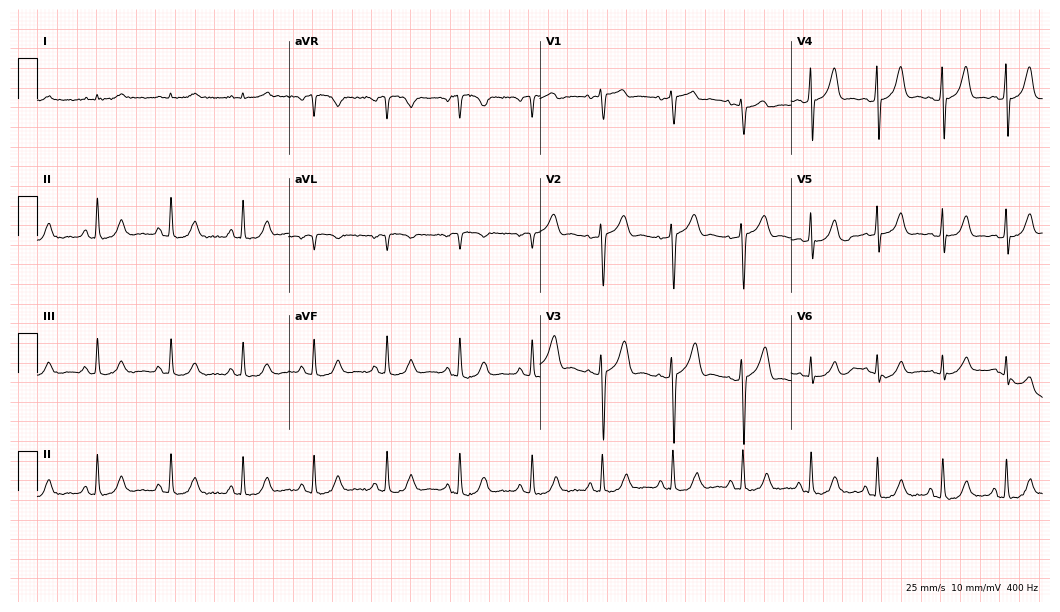
12-lead ECG from a male, 72 years old (10.2-second recording at 400 Hz). Recorded interpretation: within normal limits.